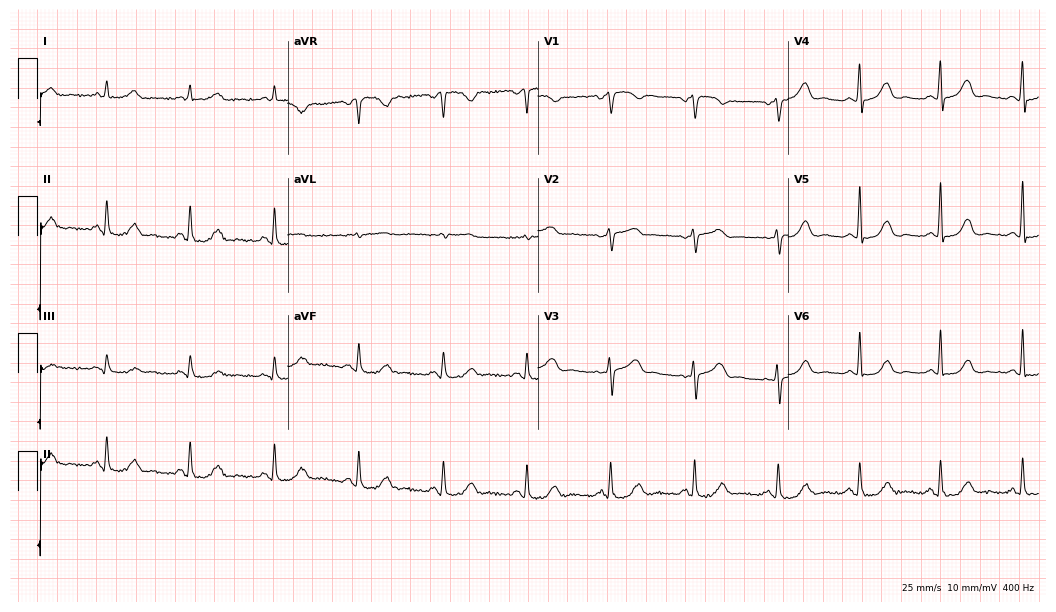
Electrocardiogram, a female, 71 years old. Overall reading on record: normal ECG.